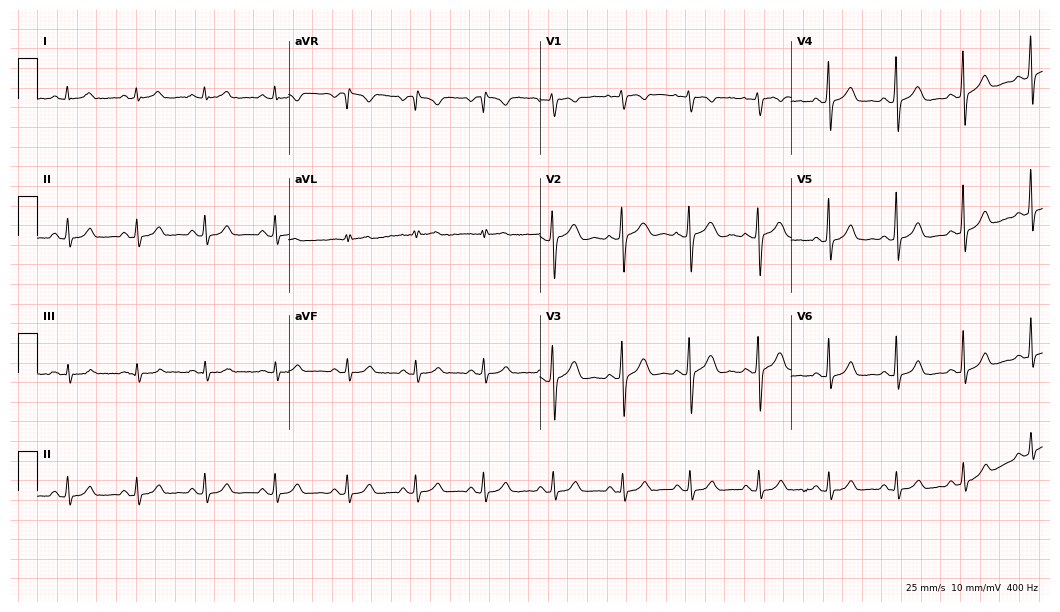
Resting 12-lead electrocardiogram (10.2-second recording at 400 Hz). Patient: a 20-year-old female. Read as a normal ECG.